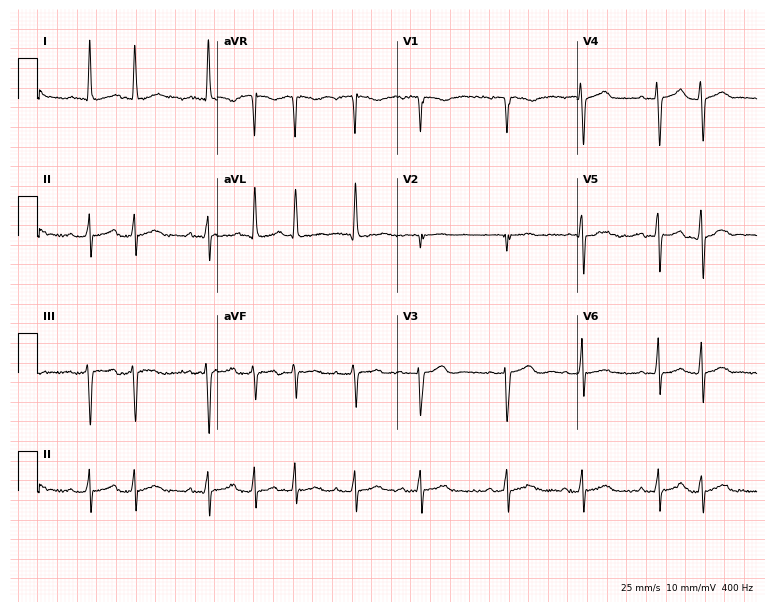
Electrocardiogram, an 83-year-old woman. Of the six screened findings (first-degree AV block, right bundle branch block (RBBB), left bundle branch block (LBBB), sinus bradycardia, atrial fibrillation (AF), sinus tachycardia), none is recorded.